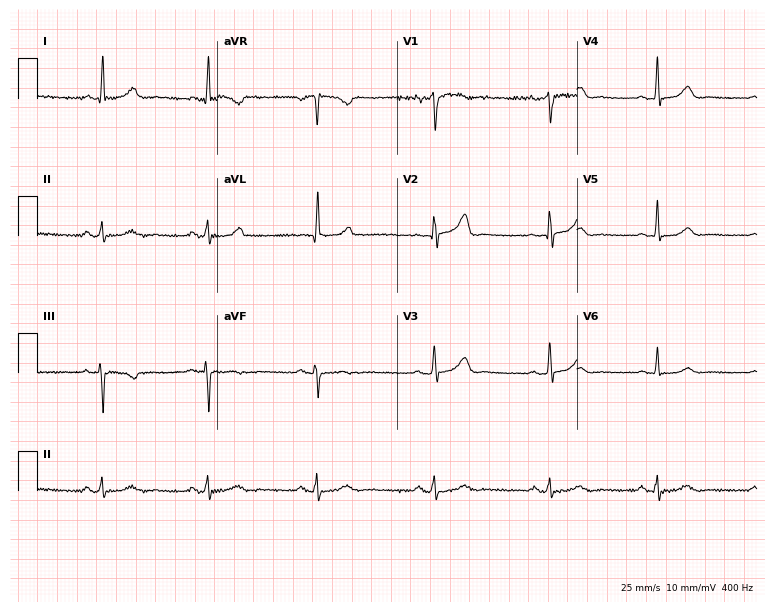
ECG — a 37-year-old woman. Screened for six findings — first-degree AV block, right bundle branch block (RBBB), left bundle branch block (LBBB), sinus bradycardia, atrial fibrillation (AF), sinus tachycardia — none is recorded. Findings outside these six are not listed.